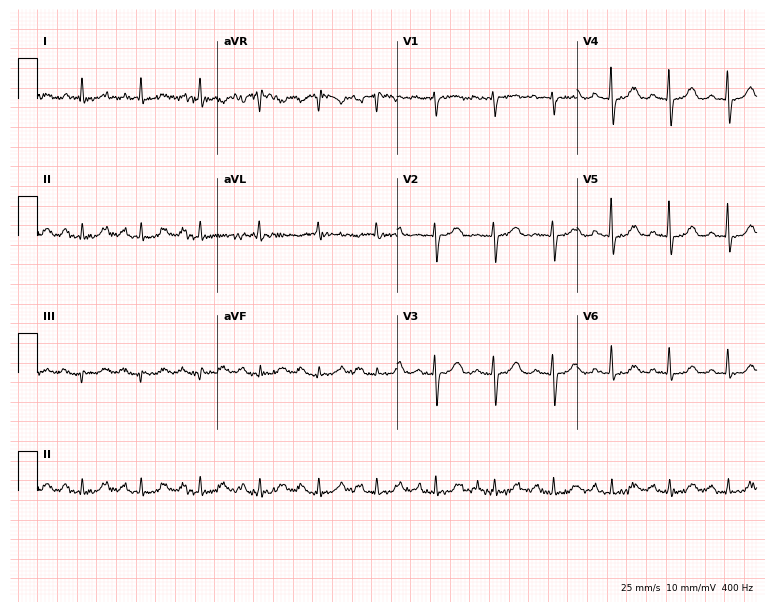
Resting 12-lead electrocardiogram (7.3-second recording at 400 Hz). Patient: a female, 74 years old. None of these six findings is recorded: first-degree AV block, right bundle branch block (RBBB), left bundle branch block (LBBB), sinus bradycardia, atrial fibrillation (AF), sinus tachycardia. Only these six findings were labelled.